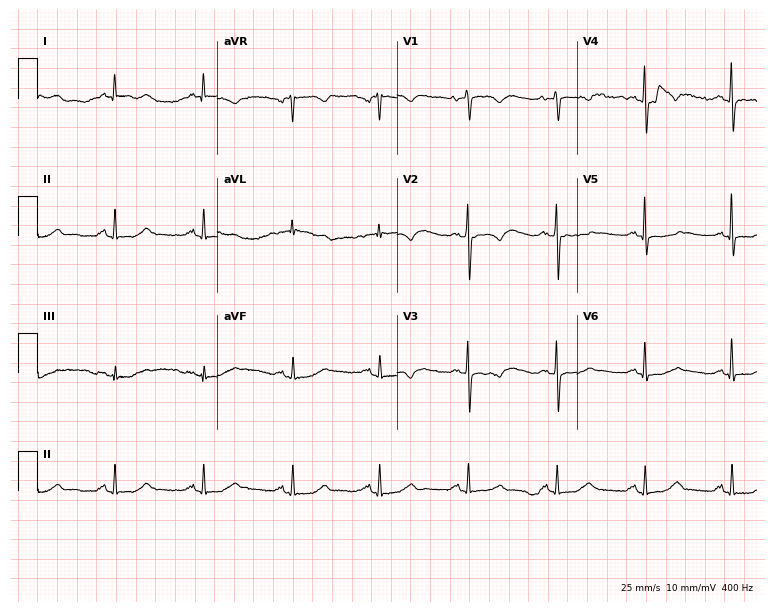
ECG — a woman, 84 years old. Screened for six findings — first-degree AV block, right bundle branch block (RBBB), left bundle branch block (LBBB), sinus bradycardia, atrial fibrillation (AF), sinus tachycardia — none is recorded.